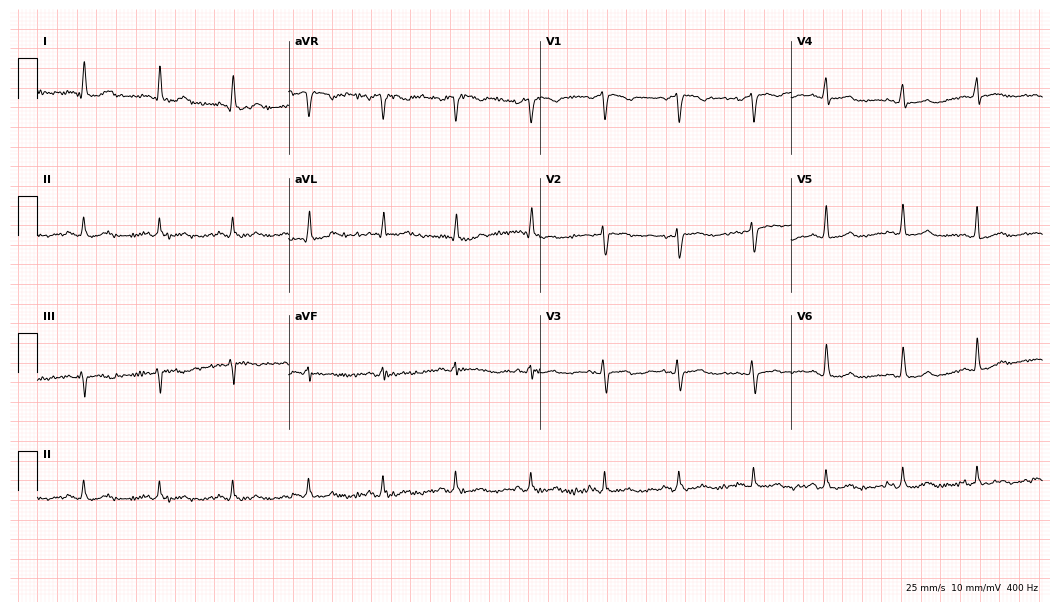
12-lead ECG from a woman, 51 years old (10.2-second recording at 400 Hz). No first-degree AV block, right bundle branch block, left bundle branch block, sinus bradycardia, atrial fibrillation or sinus tachycardia recorded for this tracing.